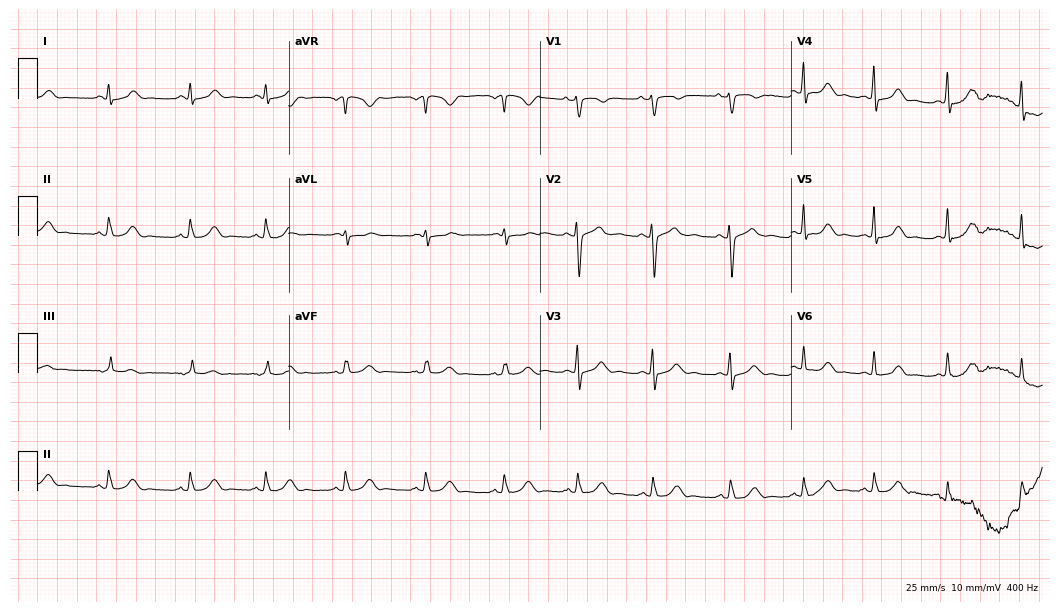
12-lead ECG from a female patient, 19 years old. Recorded interpretation: within normal limits.